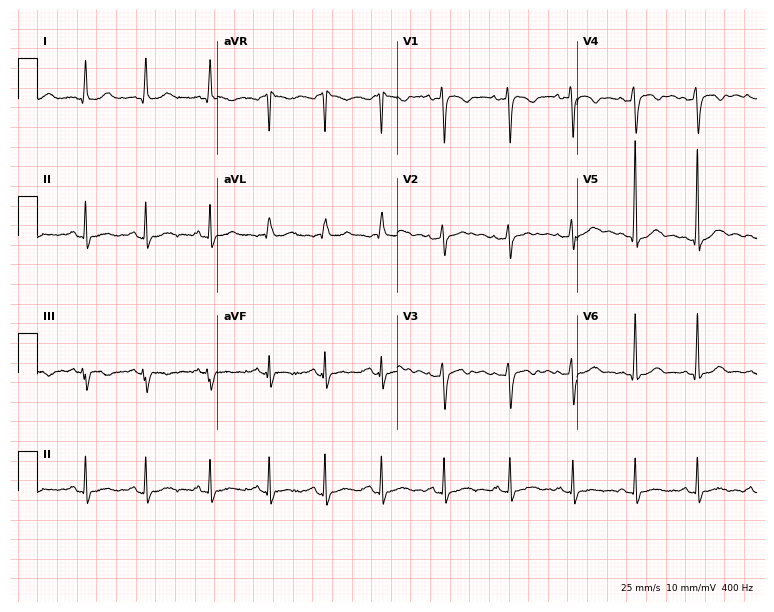
Standard 12-lead ECG recorded from a female patient, 26 years old (7.3-second recording at 400 Hz). None of these six findings is recorded: first-degree AV block, right bundle branch block (RBBB), left bundle branch block (LBBB), sinus bradycardia, atrial fibrillation (AF), sinus tachycardia.